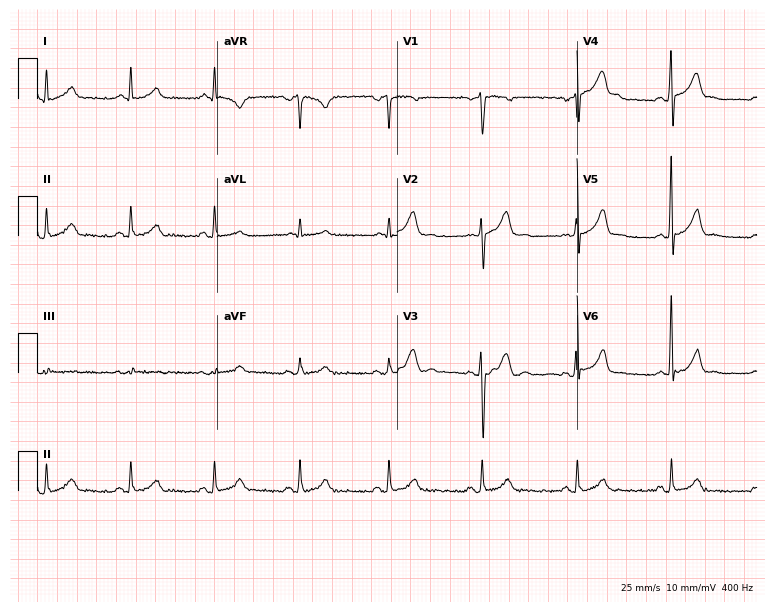
Resting 12-lead electrocardiogram (7.3-second recording at 400 Hz). Patient: a 52-year-old male. None of these six findings is recorded: first-degree AV block, right bundle branch block (RBBB), left bundle branch block (LBBB), sinus bradycardia, atrial fibrillation (AF), sinus tachycardia.